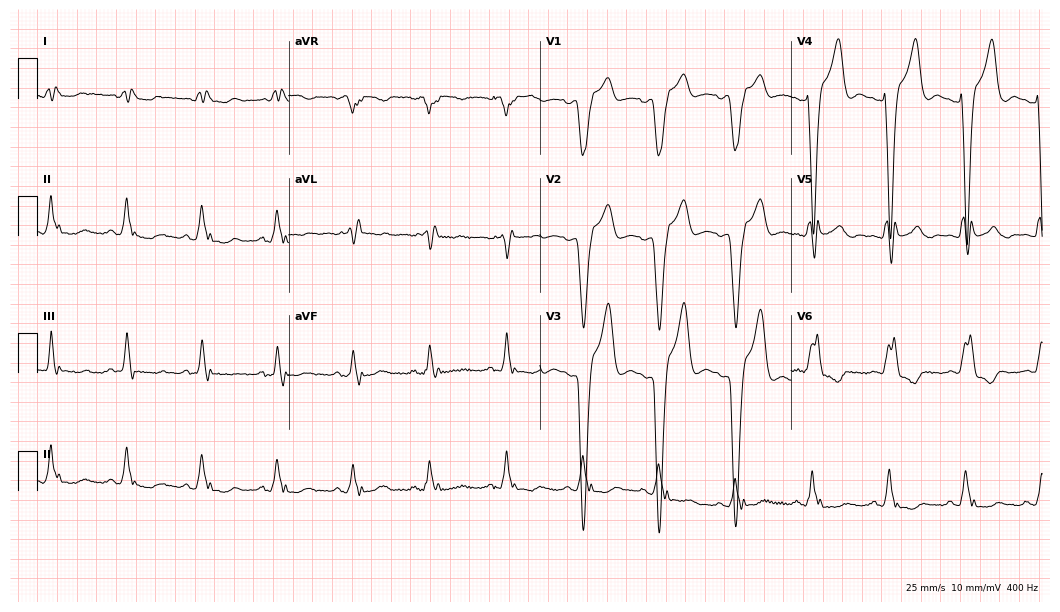
Standard 12-lead ECG recorded from a 75-year-old female. The tracing shows left bundle branch block.